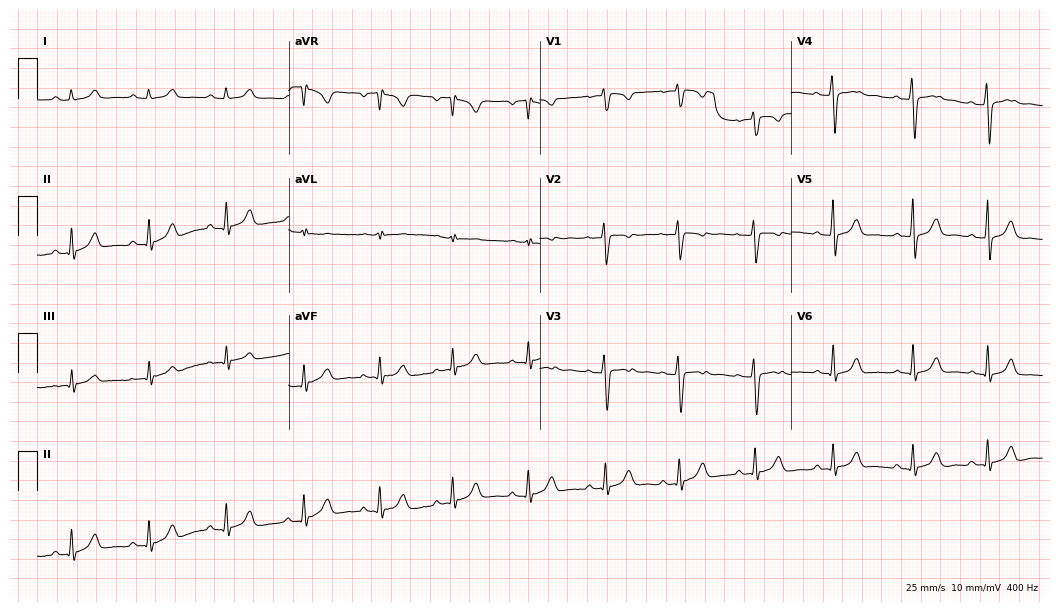
Standard 12-lead ECG recorded from a female, 32 years old (10.2-second recording at 400 Hz). Read as a normal ECG.